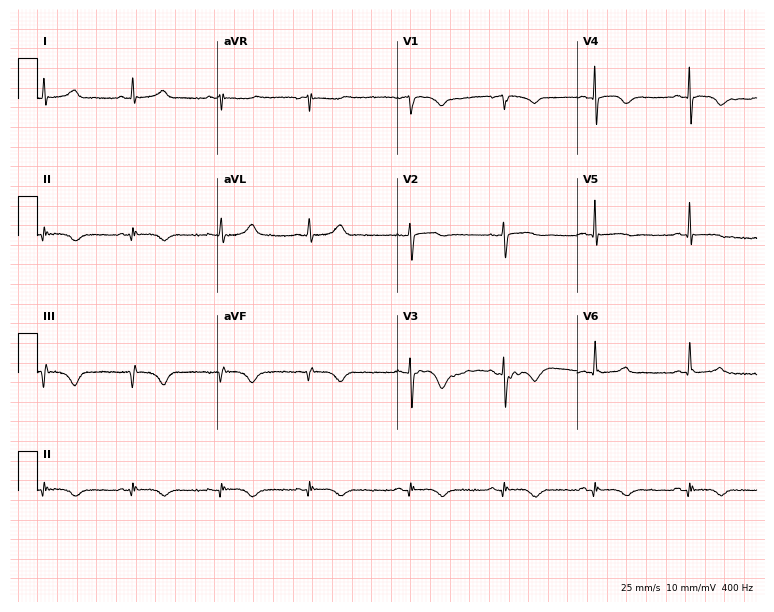
Standard 12-lead ECG recorded from a 69-year-old male (7.3-second recording at 400 Hz). None of these six findings is recorded: first-degree AV block, right bundle branch block (RBBB), left bundle branch block (LBBB), sinus bradycardia, atrial fibrillation (AF), sinus tachycardia. Other findings, if any, are not listed.